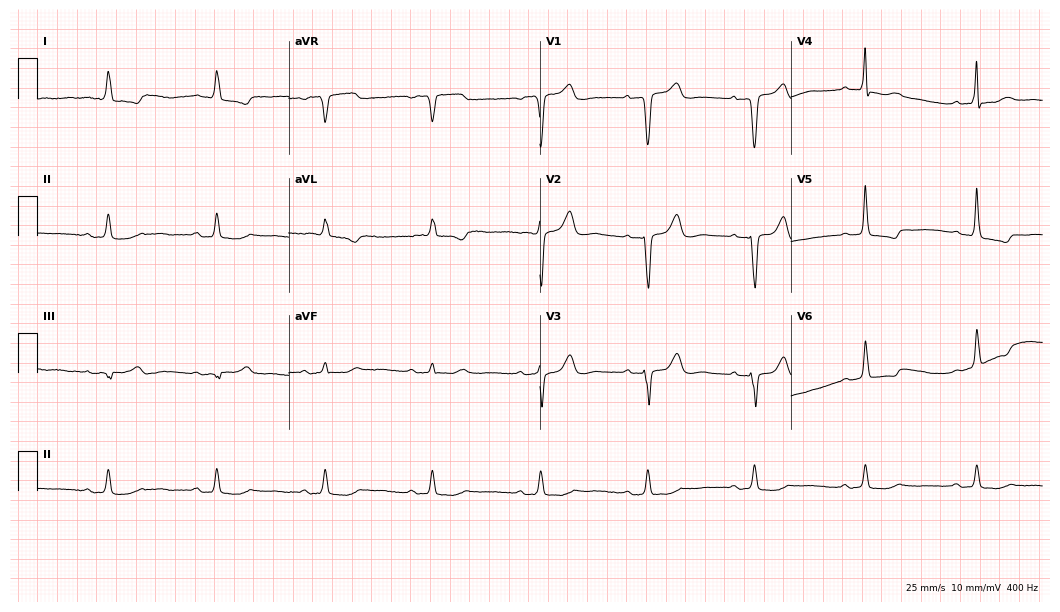
Resting 12-lead electrocardiogram (10.2-second recording at 400 Hz). Patient: a woman, 82 years old. Read as a normal ECG.